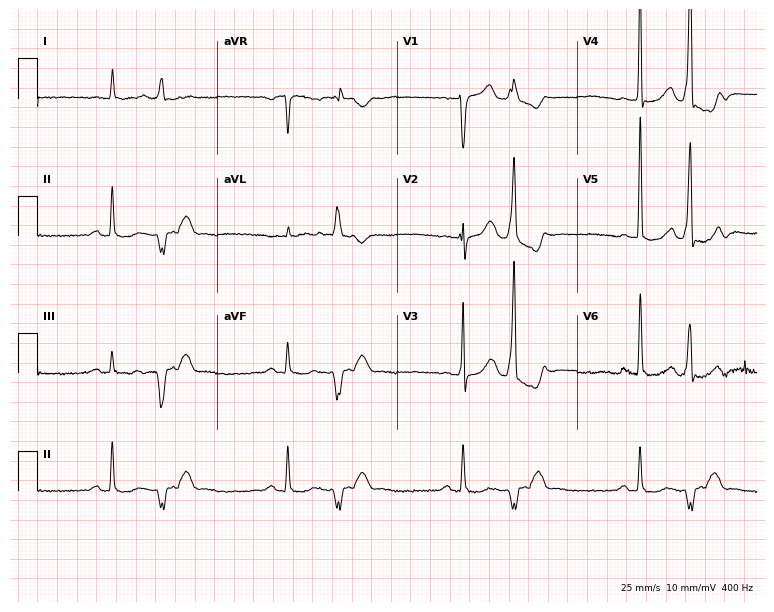
12-lead ECG from a male, 78 years old (7.3-second recording at 400 Hz). No first-degree AV block, right bundle branch block, left bundle branch block, sinus bradycardia, atrial fibrillation or sinus tachycardia recorded for this tracing. Only these six findings were labelled.